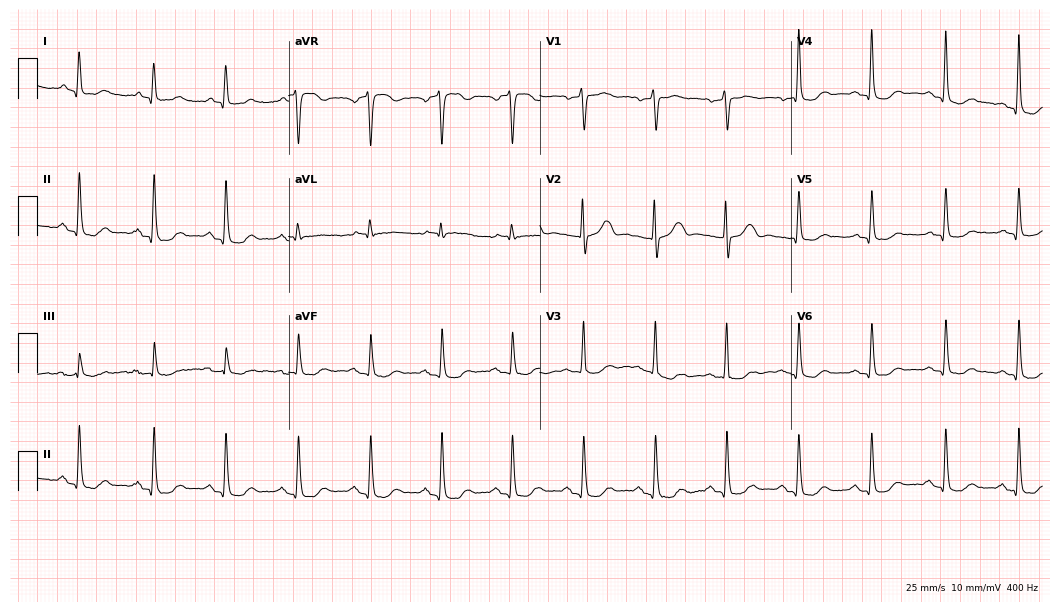
12-lead ECG from a woman, 67 years old (10.2-second recording at 400 Hz). No first-degree AV block, right bundle branch block, left bundle branch block, sinus bradycardia, atrial fibrillation or sinus tachycardia recorded for this tracing. Other findings, if any, are not listed.